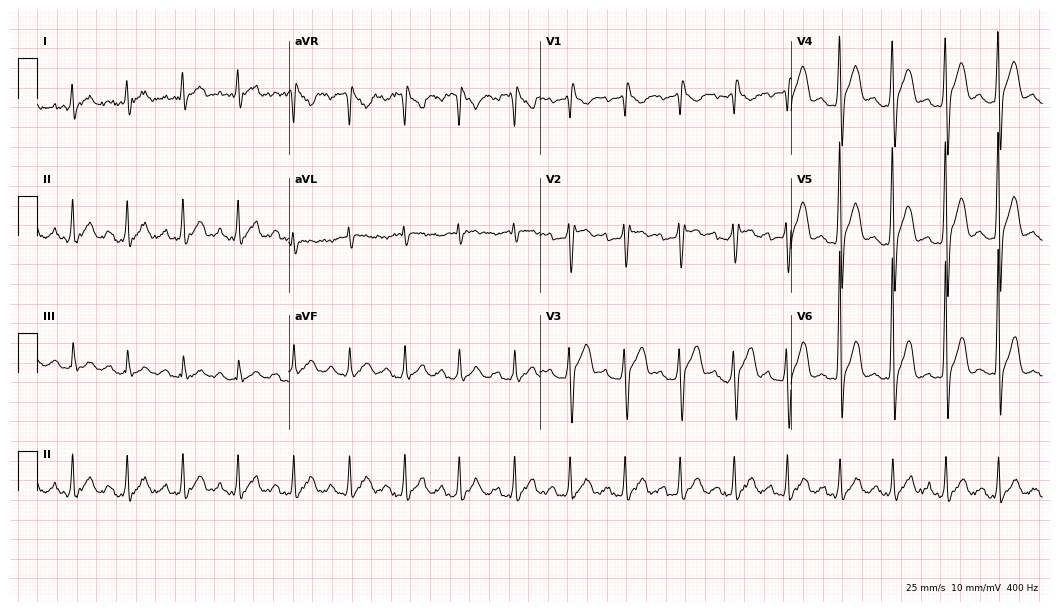
12-lead ECG from a man, 35 years old. Shows sinus tachycardia (a sinus rate of 100 beats per minute or more).